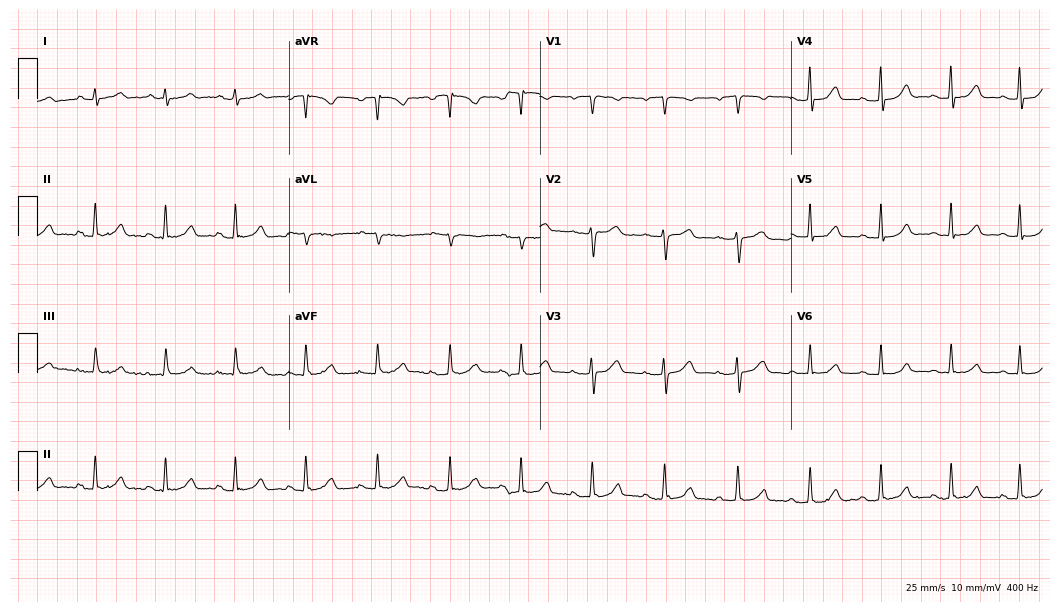
ECG — a 53-year-old female. Labelled as a normal ECG.